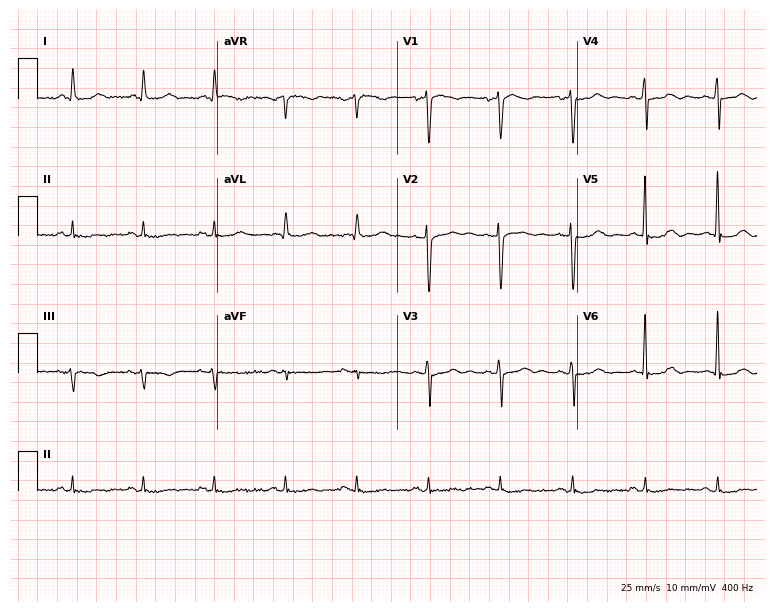
ECG — a 78-year-old male. Screened for six findings — first-degree AV block, right bundle branch block (RBBB), left bundle branch block (LBBB), sinus bradycardia, atrial fibrillation (AF), sinus tachycardia — none is recorded. Other findings, if any, are not listed.